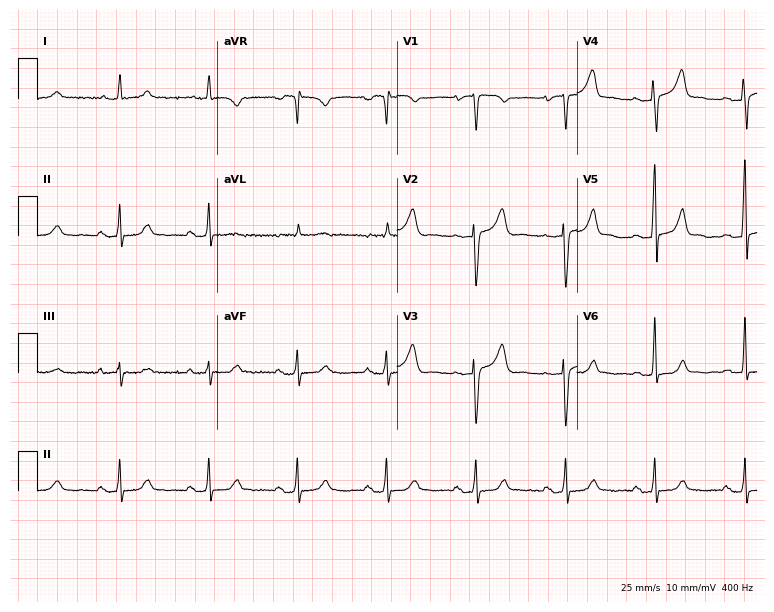
Electrocardiogram (7.3-second recording at 400 Hz), an 81-year-old female patient. Of the six screened findings (first-degree AV block, right bundle branch block (RBBB), left bundle branch block (LBBB), sinus bradycardia, atrial fibrillation (AF), sinus tachycardia), none is recorded. Findings outside these six are not listed.